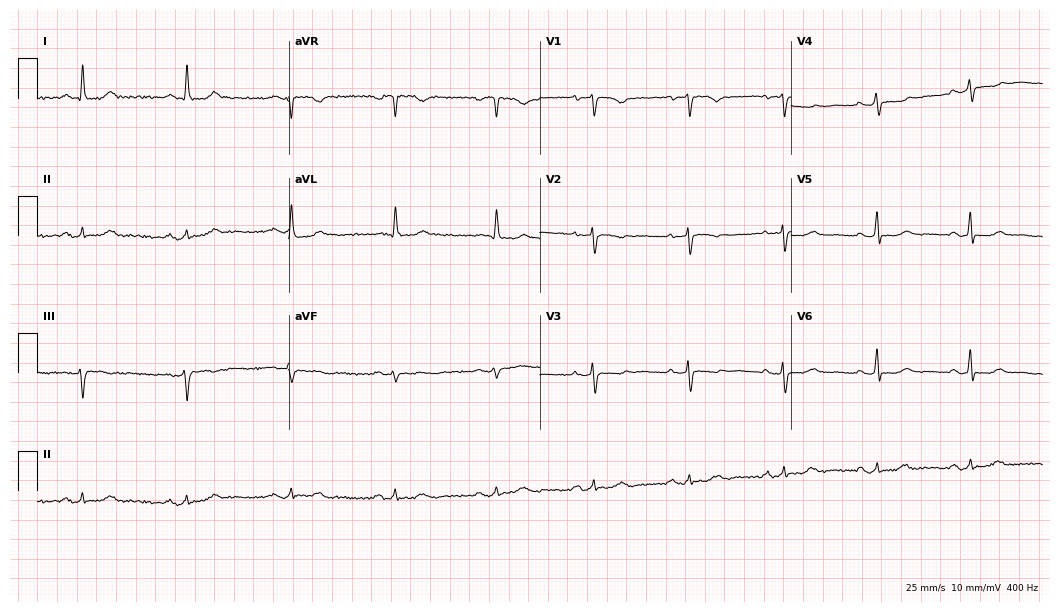
ECG (10.2-second recording at 400 Hz) — a woman, 61 years old. Screened for six findings — first-degree AV block, right bundle branch block (RBBB), left bundle branch block (LBBB), sinus bradycardia, atrial fibrillation (AF), sinus tachycardia — none is recorded.